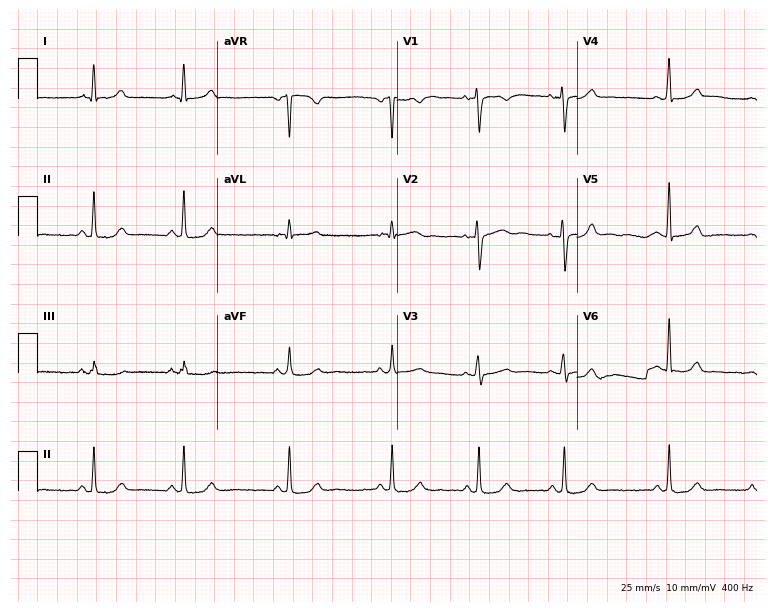
Electrocardiogram, a 38-year-old woman. Of the six screened findings (first-degree AV block, right bundle branch block (RBBB), left bundle branch block (LBBB), sinus bradycardia, atrial fibrillation (AF), sinus tachycardia), none is recorded.